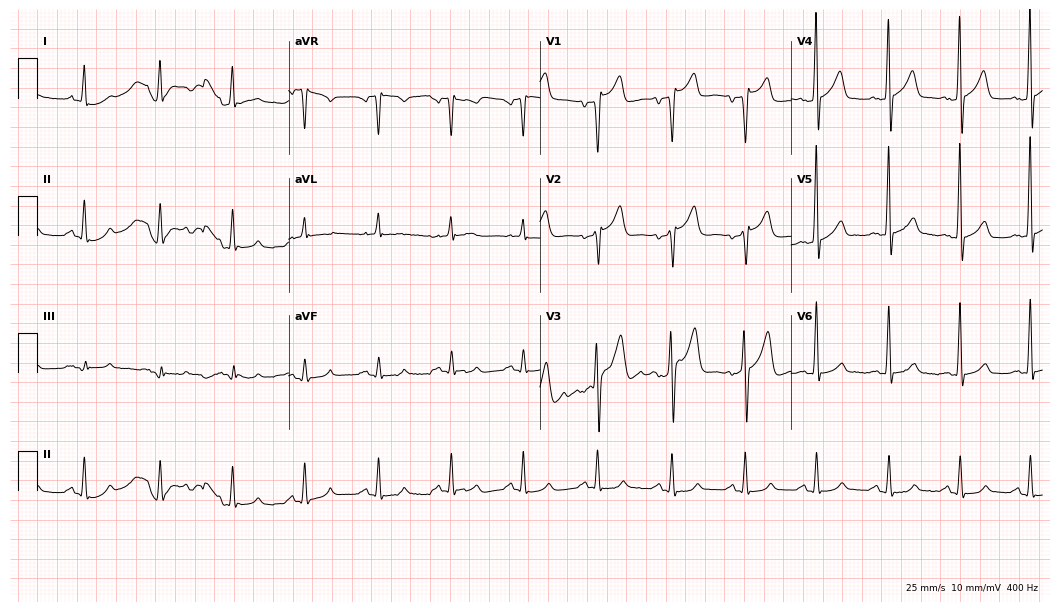
Electrocardiogram (10.2-second recording at 400 Hz), a man, 59 years old. Of the six screened findings (first-degree AV block, right bundle branch block, left bundle branch block, sinus bradycardia, atrial fibrillation, sinus tachycardia), none is recorded.